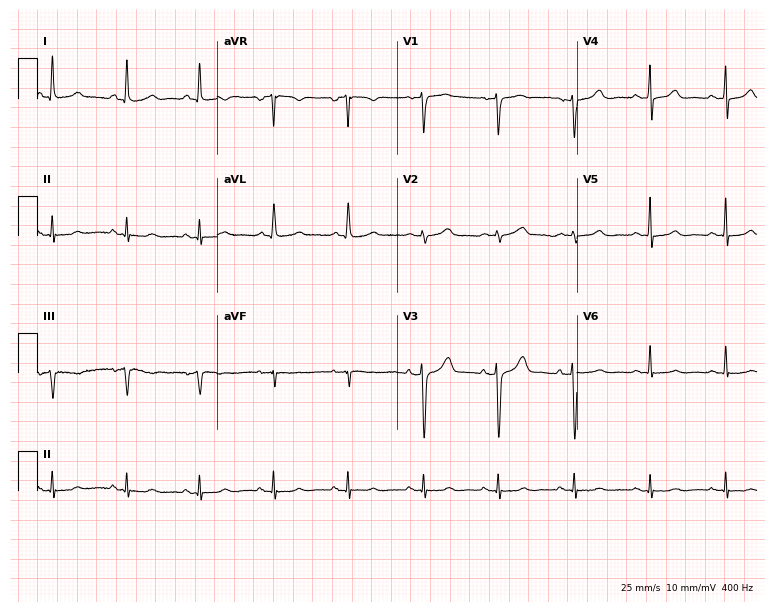
12-lead ECG (7.3-second recording at 400 Hz) from a 57-year-old female patient. Screened for six findings — first-degree AV block, right bundle branch block, left bundle branch block, sinus bradycardia, atrial fibrillation, sinus tachycardia — none is recorded.